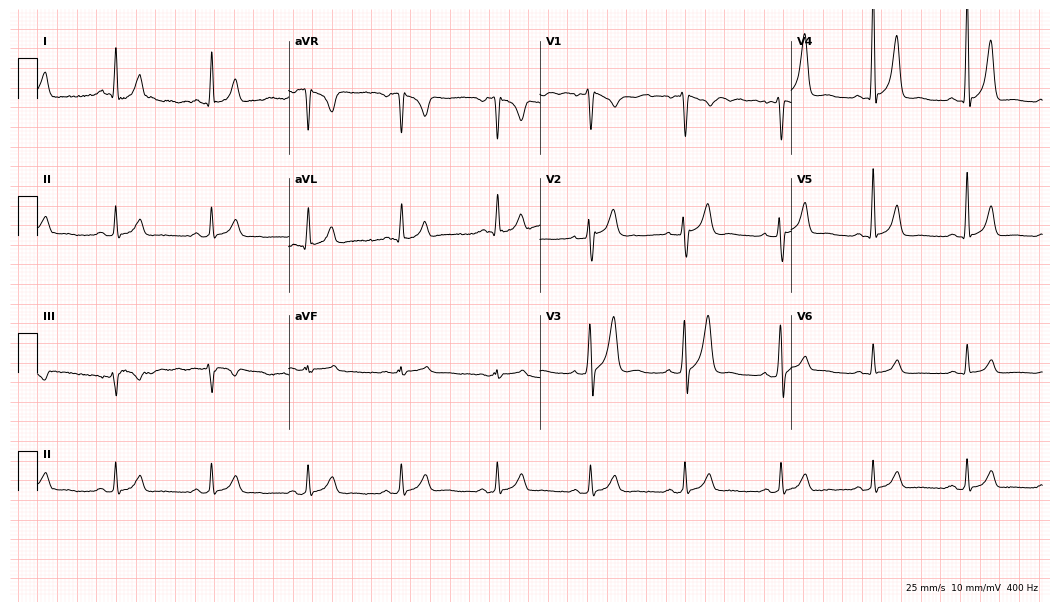
ECG (10.2-second recording at 400 Hz) — a man, 46 years old. Screened for six findings — first-degree AV block, right bundle branch block, left bundle branch block, sinus bradycardia, atrial fibrillation, sinus tachycardia — none is recorded. Other findings, if any, are not listed.